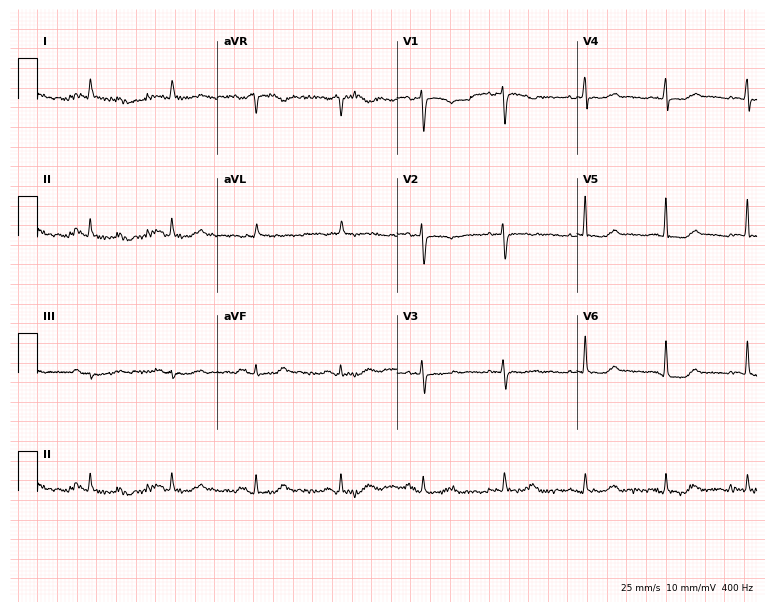
12-lead ECG from a female, 66 years old. Labelled as a normal ECG.